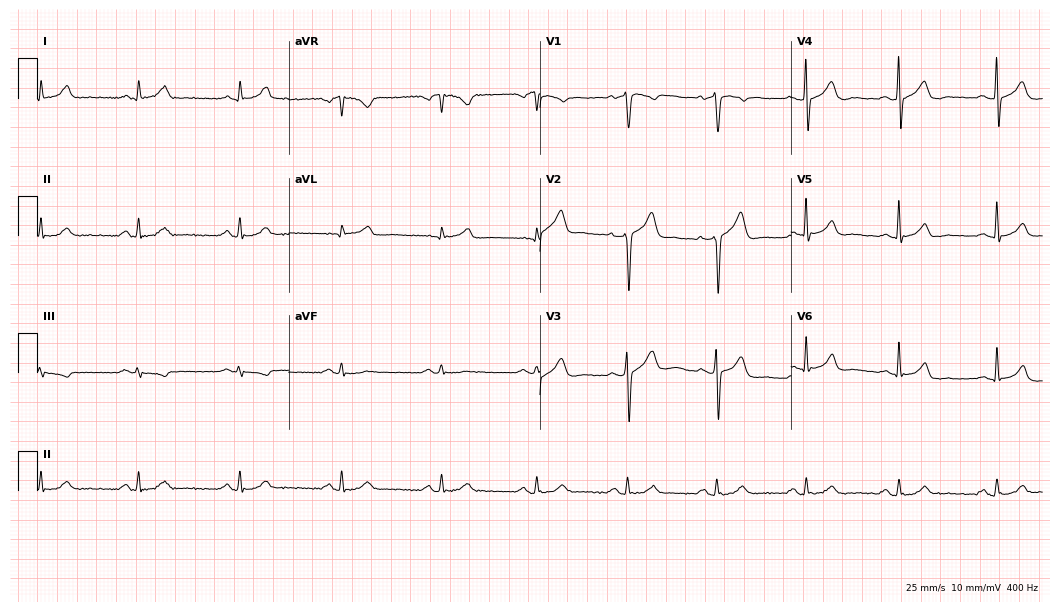
ECG (10.2-second recording at 400 Hz) — a 58-year-old man. Labelled as a normal ECG.